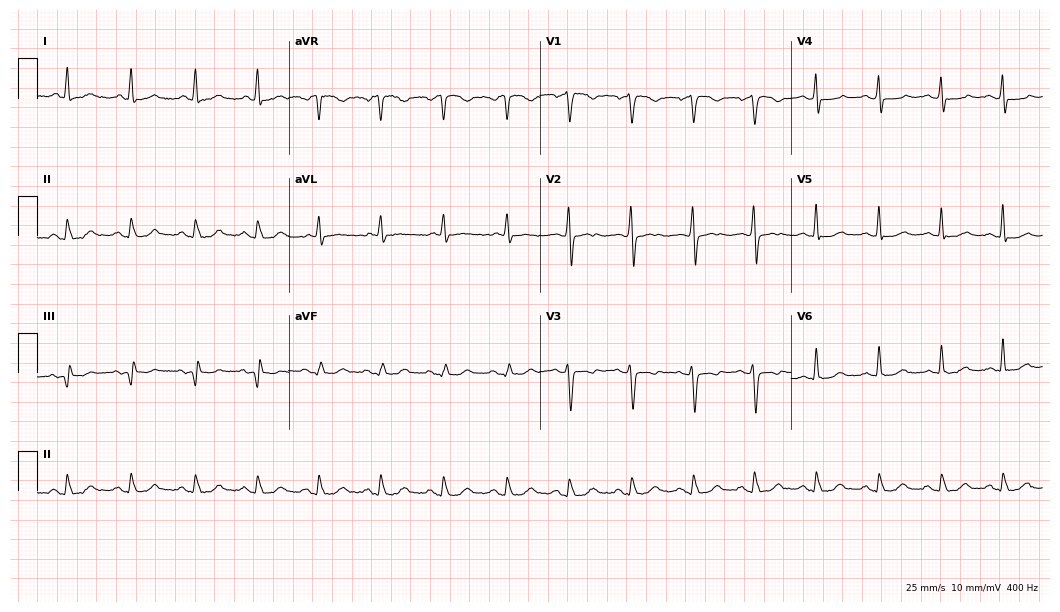
Resting 12-lead electrocardiogram. Patient: a female, 56 years old. None of these six findings is recorded: first-degree AV block, right bundle branch block, left bundle branch block, sinus bradycardia, atrial fibrillation, sinus tachycardia. Other findings, if any, are not listed.